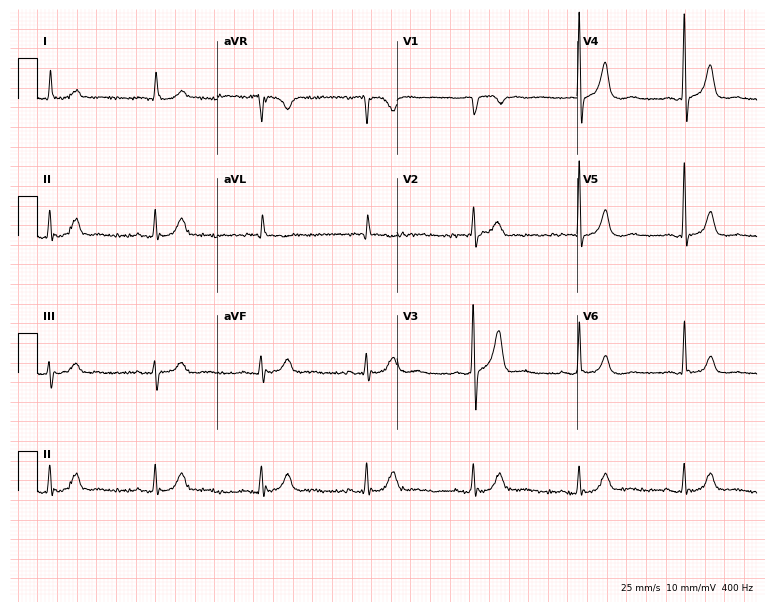
12-lead ECG from an 83-year-old man. Recorded interpretation: within normal limits.